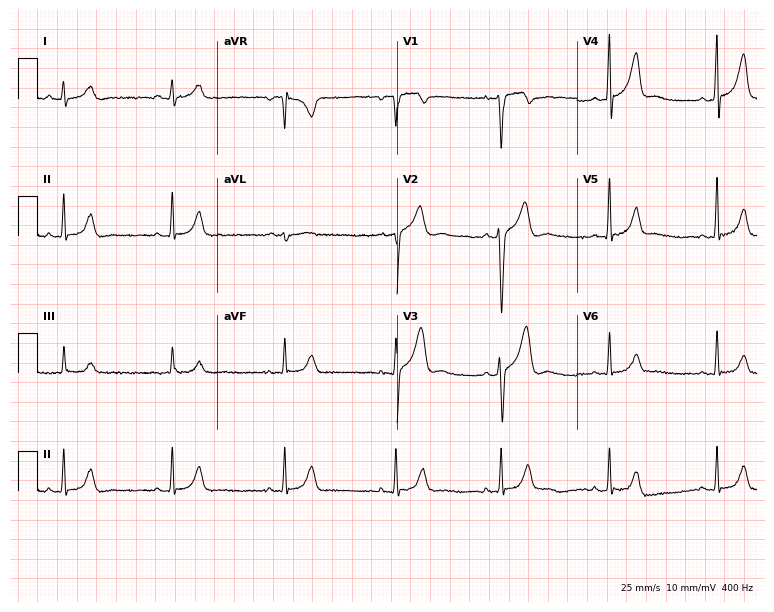
12-lead ECG (7.3-second recording at 400 Hz) from a 35-year-old male. Labelled as a normal ECG.